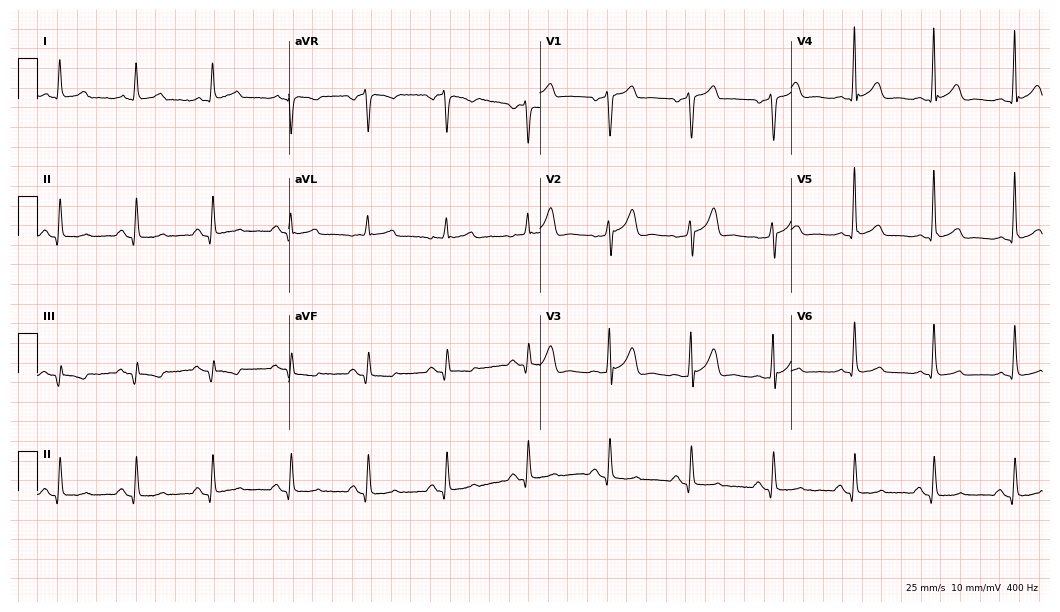
12-lead ECG (10.2-second recording at 400 Hz) from a man, 49 years old. Screened for six findings — first-degree AV block, right bundle branch block, left bundle branch block, sinus bradycardia, atrial fibrillation, sinus tachycardia — none is recorded. Only these six findings were labelled.